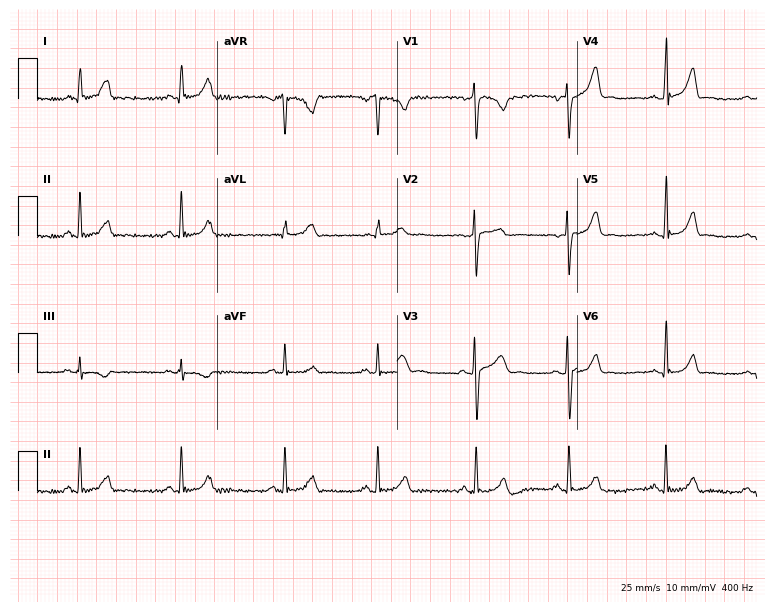
Standard 12-lead ECG recorded from a woman, 21 years old (7.3-second recording at 400 Hz). Read as a normal ECG.